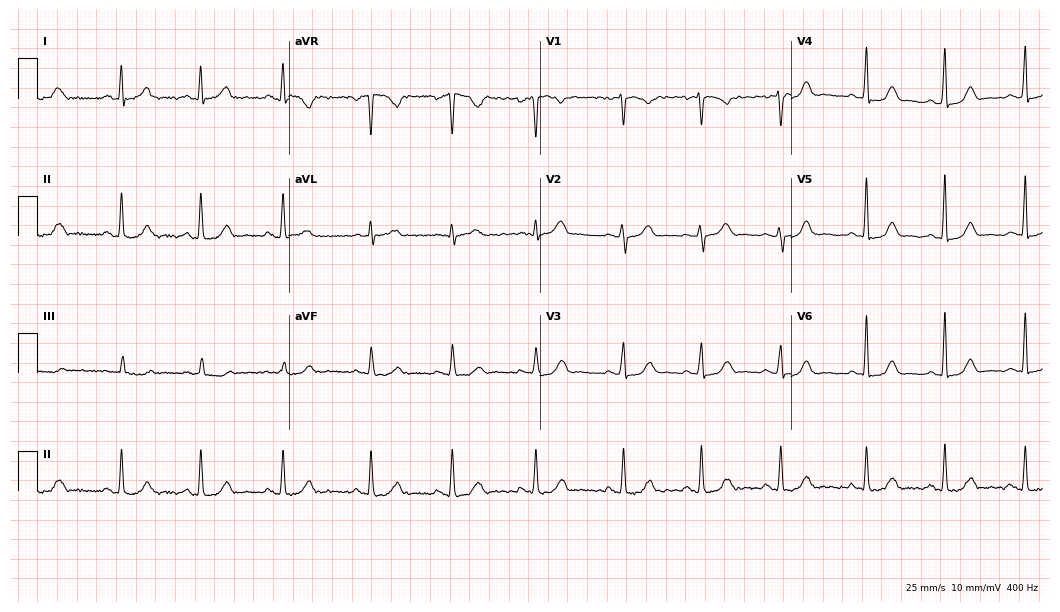
Resting 12-lead electrocardiogram (10.2-second recording at 400 Hz). Patient: a 45-year-old female. Read as a normal ECG.